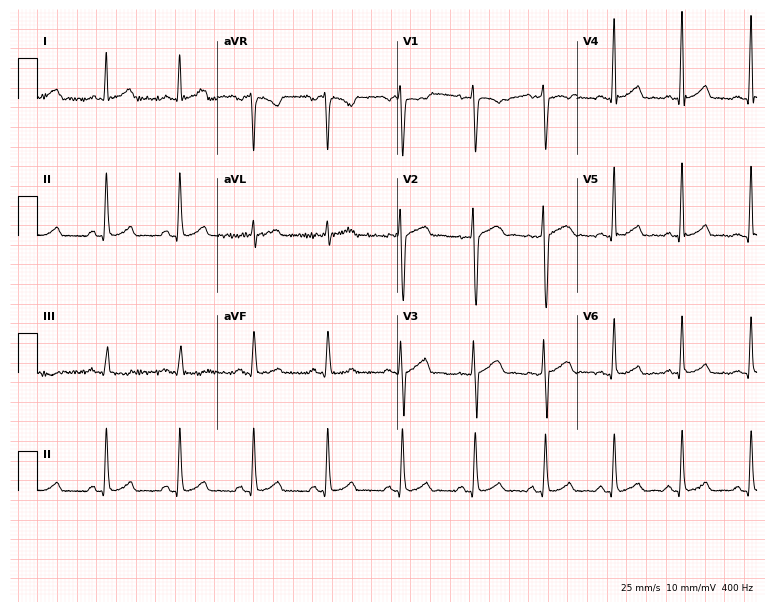
12-lead ECG from a 33-year-old female patient. No first-degree AV block, right bundle branch block (RBBB), left bundle branch block (LBBB), sinus bradycardia, atrial fibrillation (AF) or sinus tachycardia recorded for this tracing.